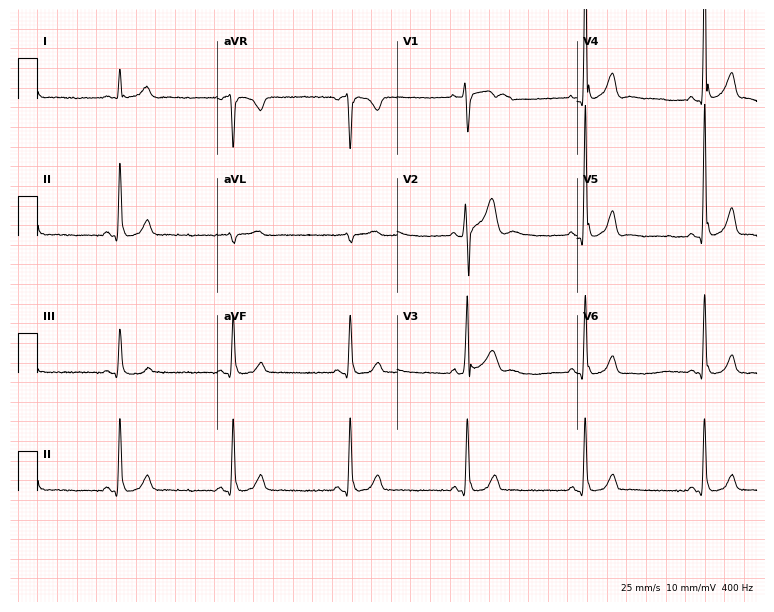
12-lead ECG from a 34-year-old man. No first-degree AV block, right bundle branch block, left bundle branch block, sinus bradycardia, atrial fibrillation or sinus tachycardia recorded for this tracing.